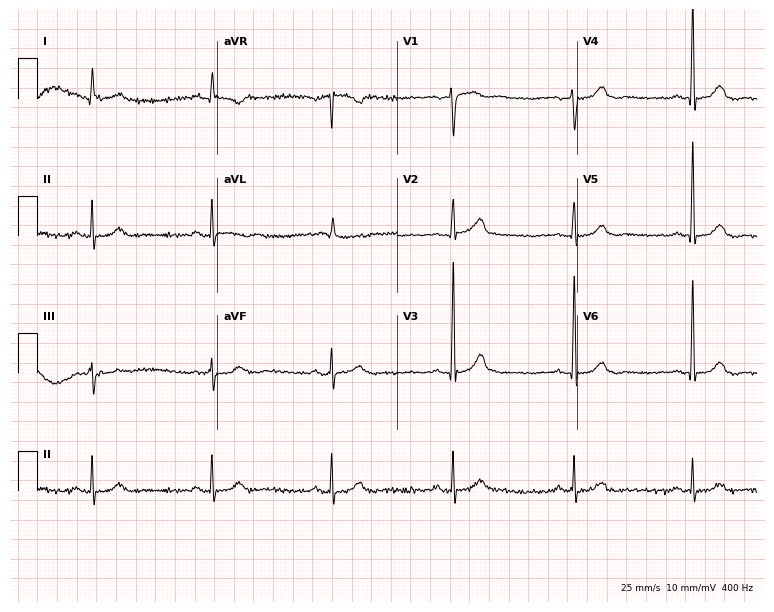
12-lead ECG from a male, 76 years old. Findings include sinus bradycardia (a sinus rate of 50 beats per minute or less).